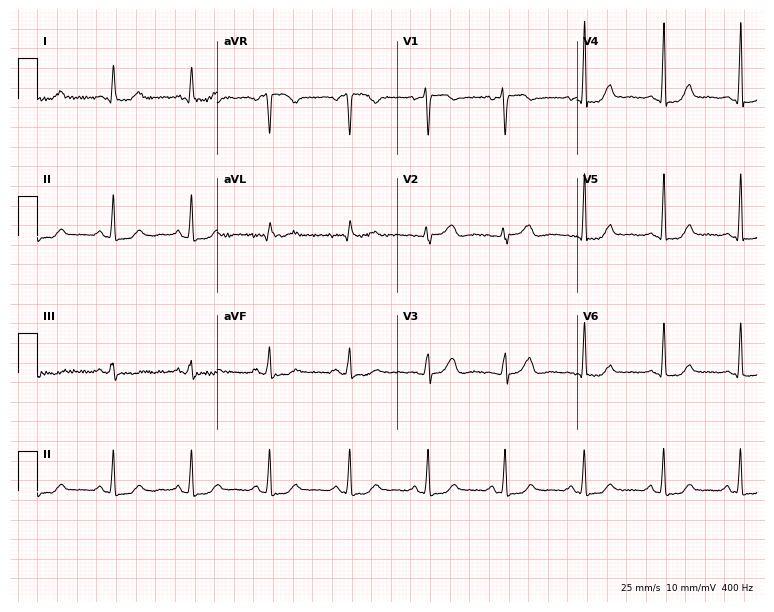
ECG (7.3-second recording at 400 Hz) — a 42-year-old woman. Labelled as a normal ECG.